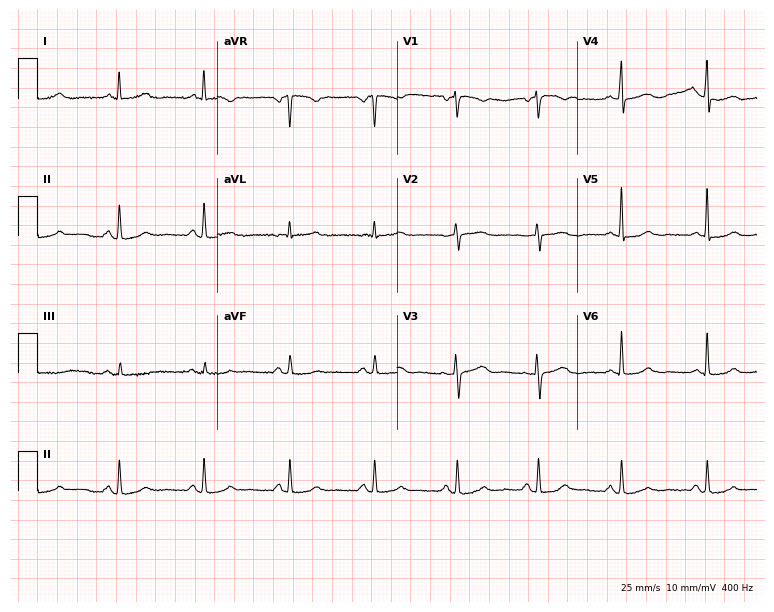
Standard 12-lead ECG recorded from a 56-year-old woman. Read as a normal ECG.